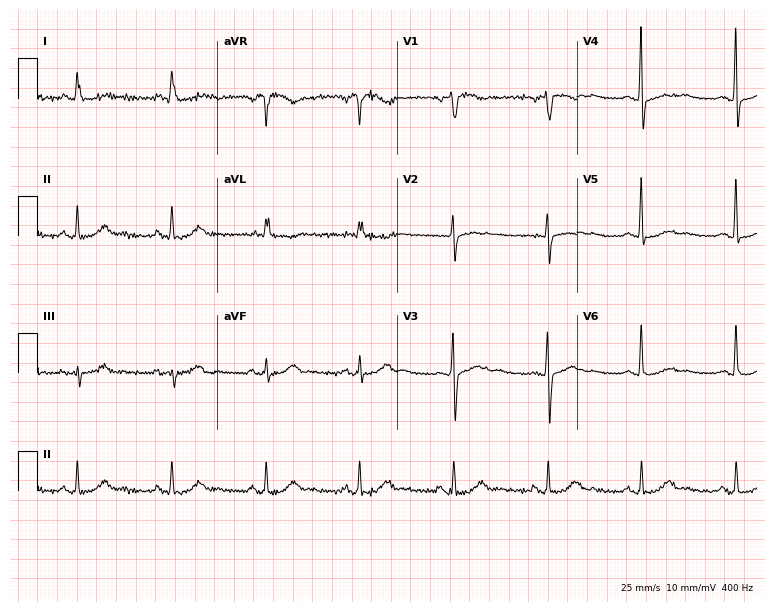
Standard 12-lead ECG recorded from a woman, 57 years old (7.3-second recording at 400 Hz). None of these six findings is recorded: first-degree AV block, right bundle branch block, left bundle branch block, sinus bradycardia, atrial fibrillation, sinus tachycardia.